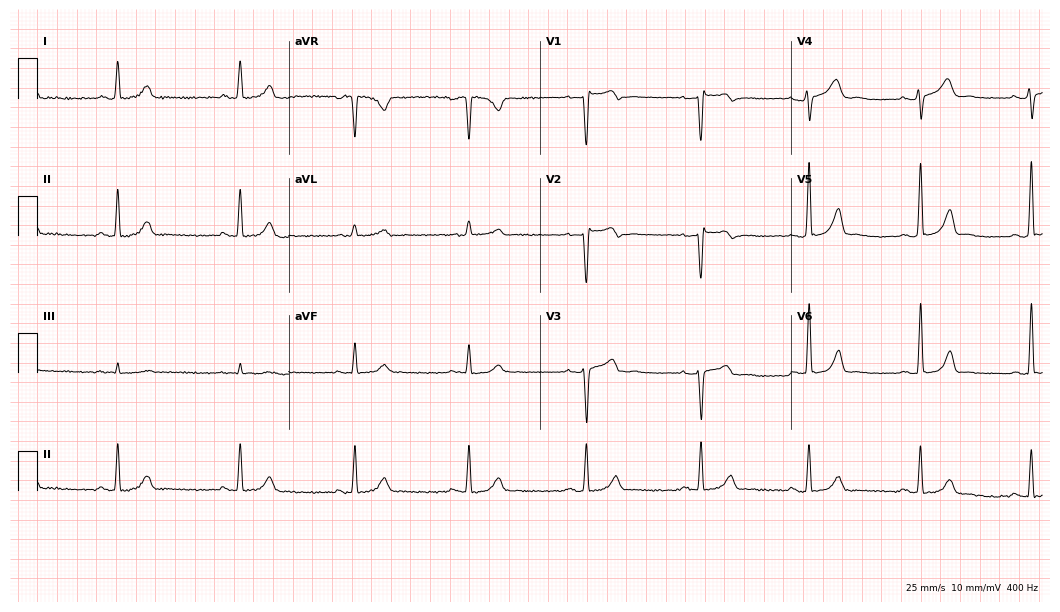
12-lead ECG from a female, 36 years old (10.2-second recording at 400 Hz). No first-degree AV block, right bundle branch block (RBBB), left bundle branch block (LBBB), sinus bradycardia, atrial fibrillation (AF) or sinus tachycardia recorded for this tracing.